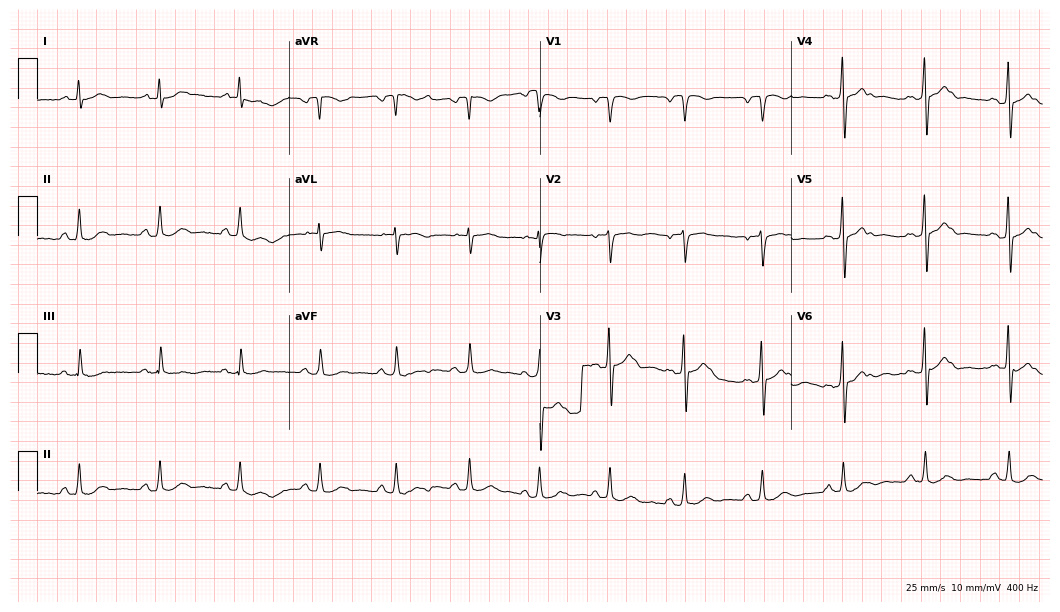
Resting 12-lead electrocardiogram (10.2-second recording at 400 Hz). Patient: a 44-year-old man. None of these six findings is recorded: first-degree AV block, right bundle branch block (RBBB), left bundle branch block (LBBB), sinus bradycardia, atrial fibrillation (AF), sinus tachycardia.